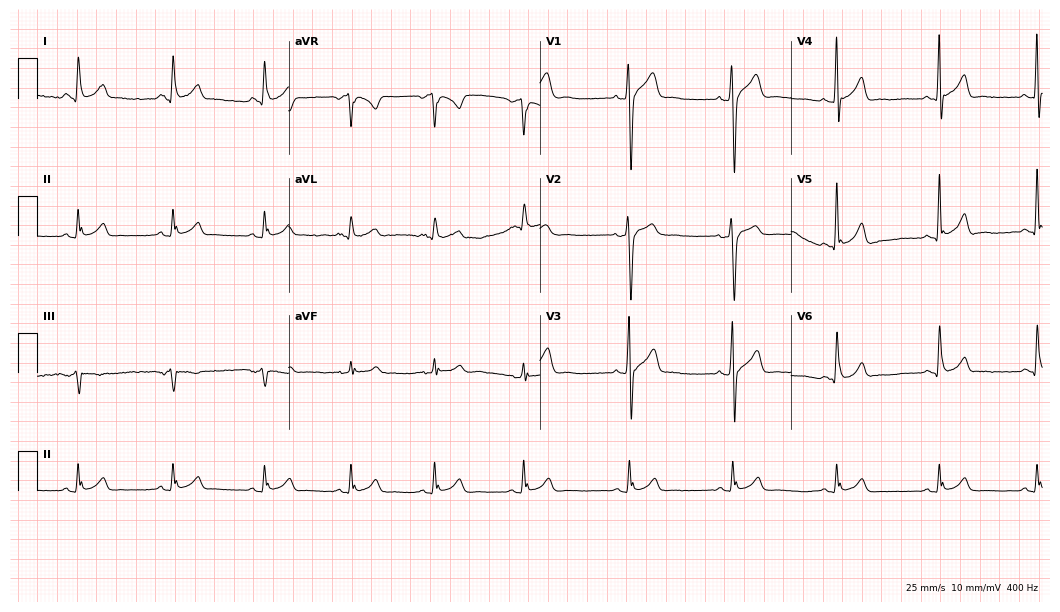
ECG (10.2-second recording at 400 Hz) — a 28-year-old male. Labelled as a normal ECG.